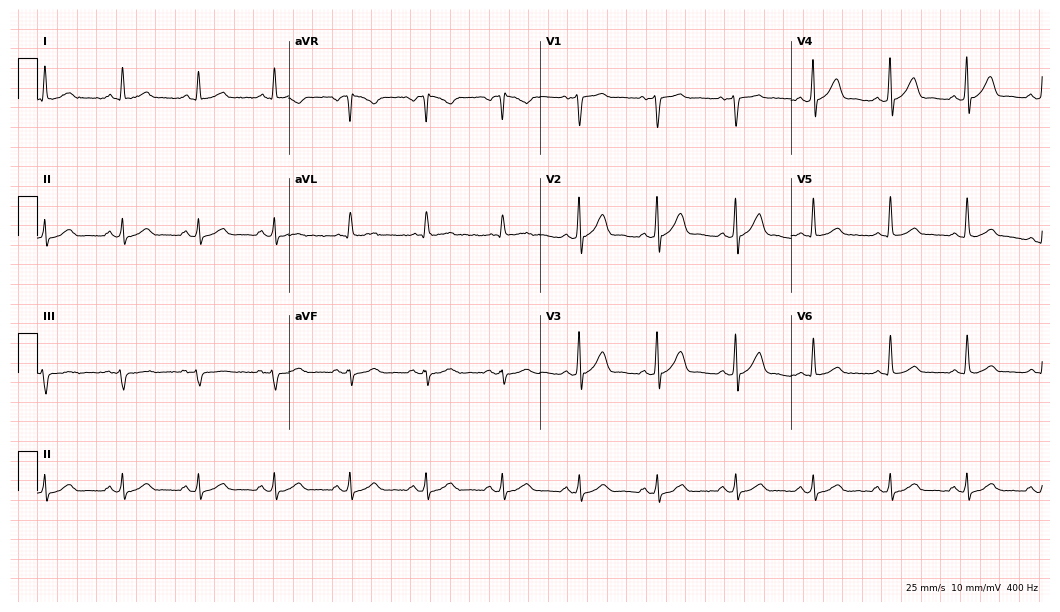
Resting 12-lead electrocardiogram. Patient: a 56-year-old male. Read as a normal ECG.